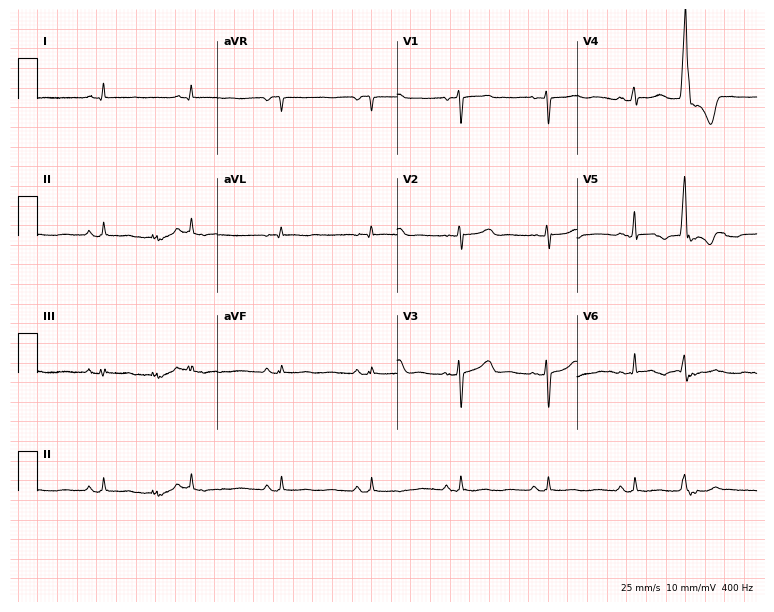
ECG — a 52-year-old female patient. Screened for six findings — first-degree AV block, right bundle branch block, left bundle branch block, sinus bradycardia, atrial fibrillation, sinus tachycardia — none is recorded. Other findings, if any, are not listed.